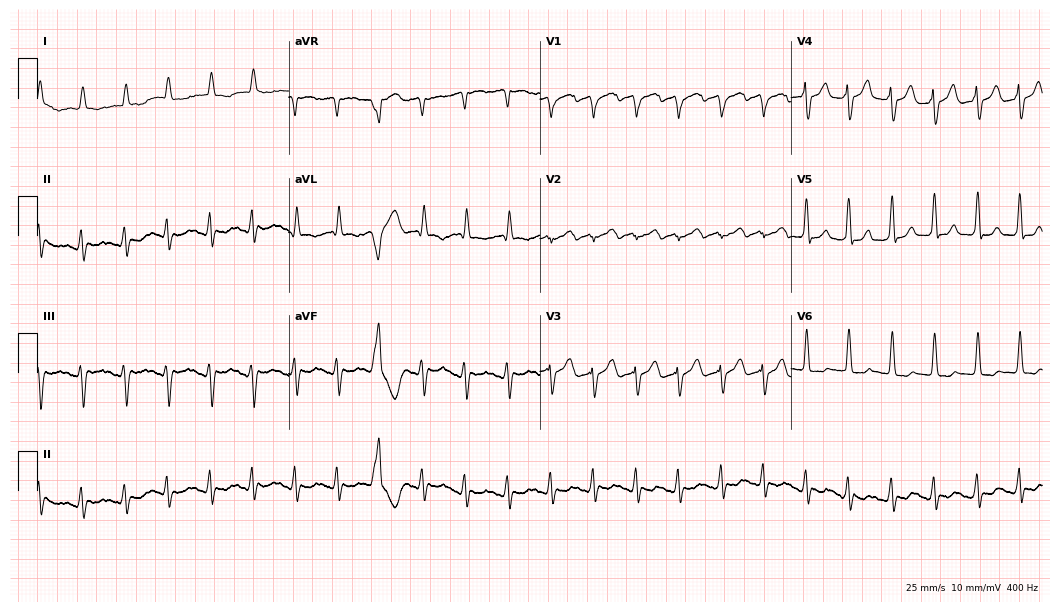
Electrocardiogram (10.2-second recording at 400 Hz), an 80-year-old female patient. Of the six screened findings (first-degree AV block, right bundle branch block, left bundle branch block, sinus bradycardia, atrial fibrillation, sinus tachycardia), none is recorded.